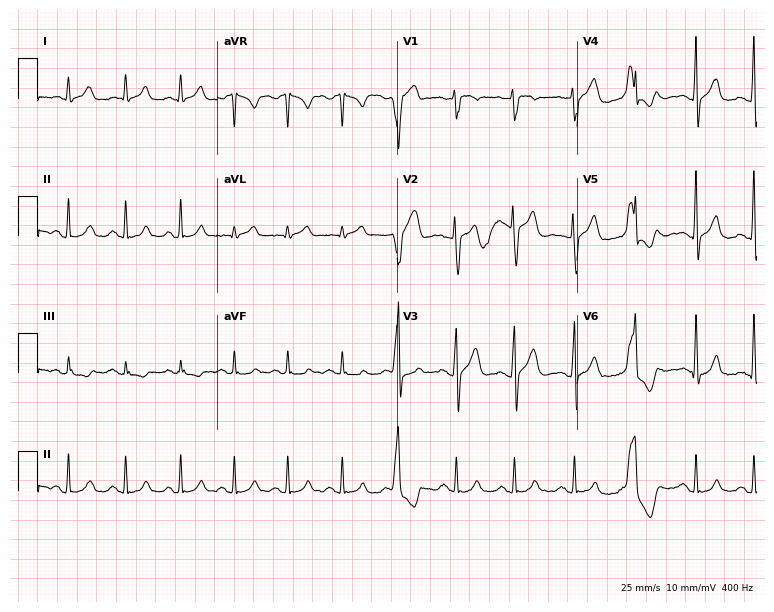
ECG — a 38-year-old male. Findings include sinus tachycardia (a sinus rate of 100 beats per minute or more).